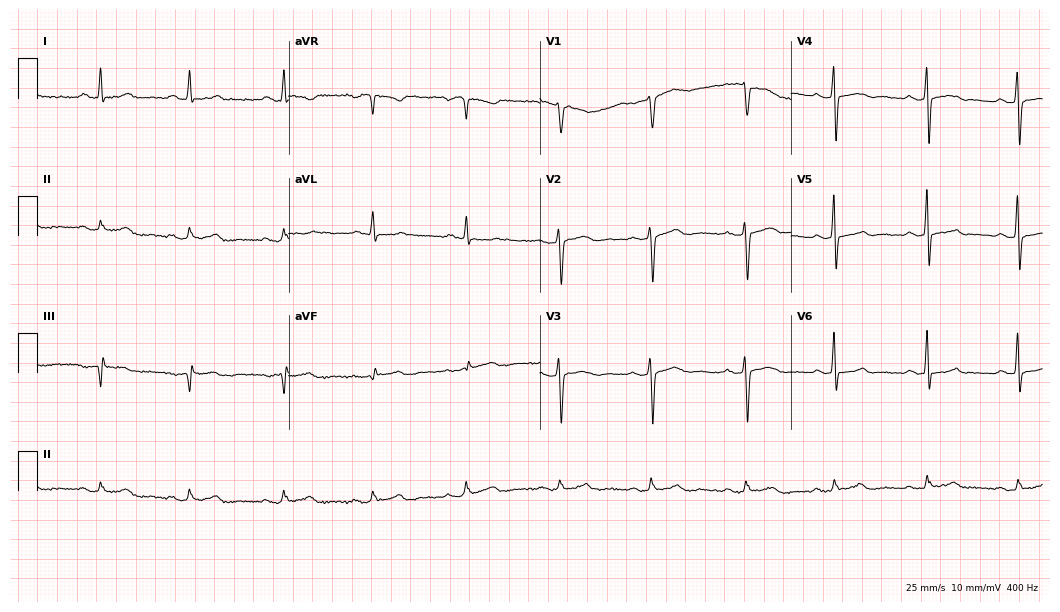
Resting 12-lead electrocardiogram. Patient: a female, 47 years old. Read as a normal ECG.